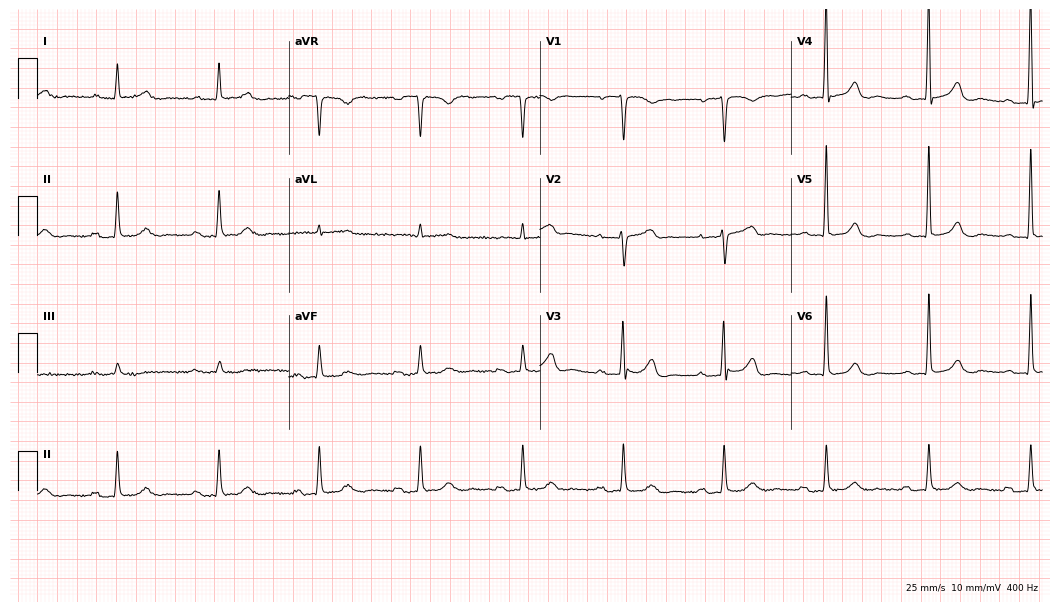
Standard 12-lead ECG recorded from an 80-year-old male. The tracing shows first-degree AV block.